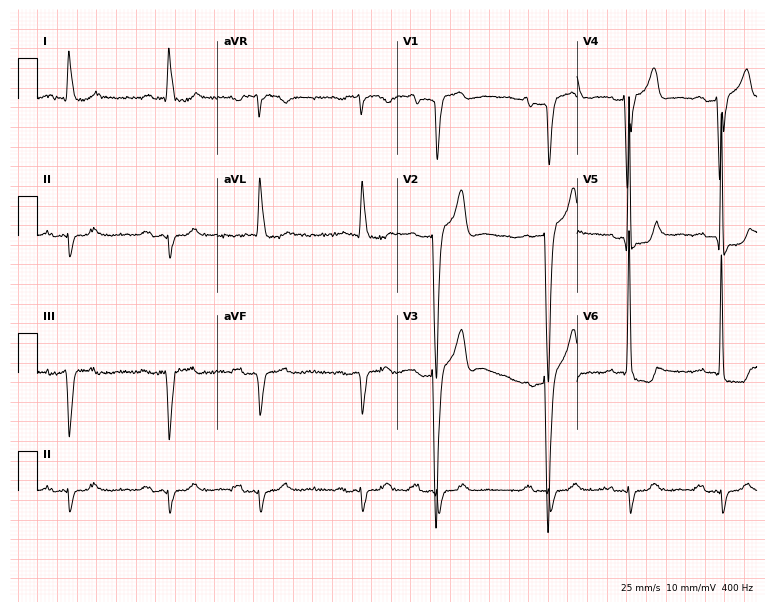
Electrocardiogram (7.3-second recording at 400 Hz), an 81-year-old man. Interpretation includes first-degree AV block.